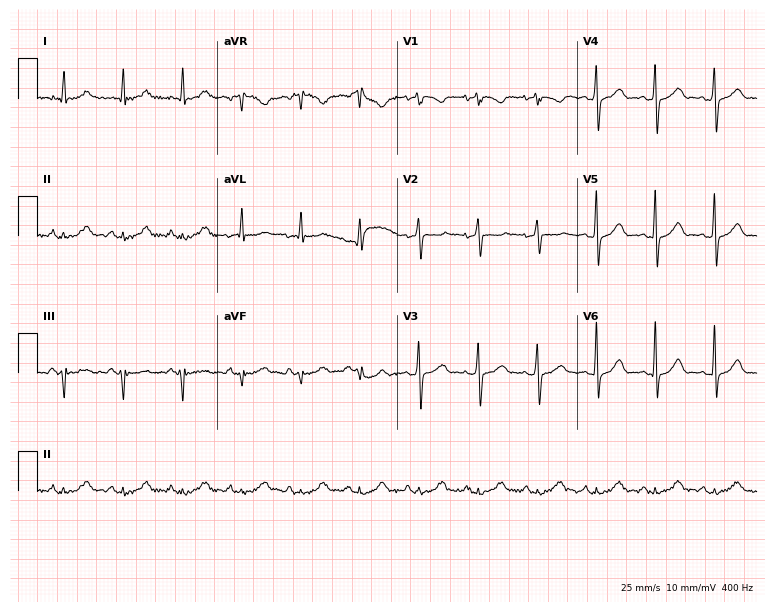
12-lead ECG (7.3-second recording at 400 Hz) from a female, 52 years old. Labelled as a normal ECG.